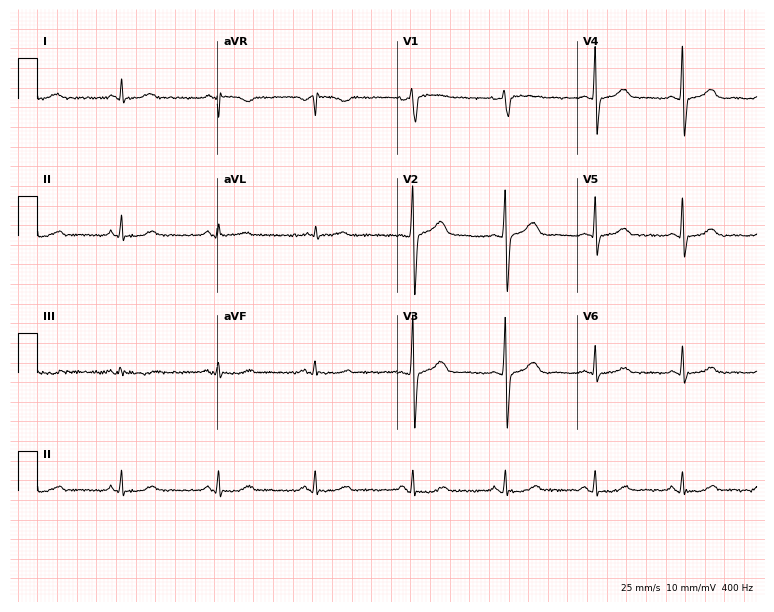
Electrocardiogram (7.3-second recording at 400 Hz), a 54-year-old woman. Overall reading on record: normal ECG.